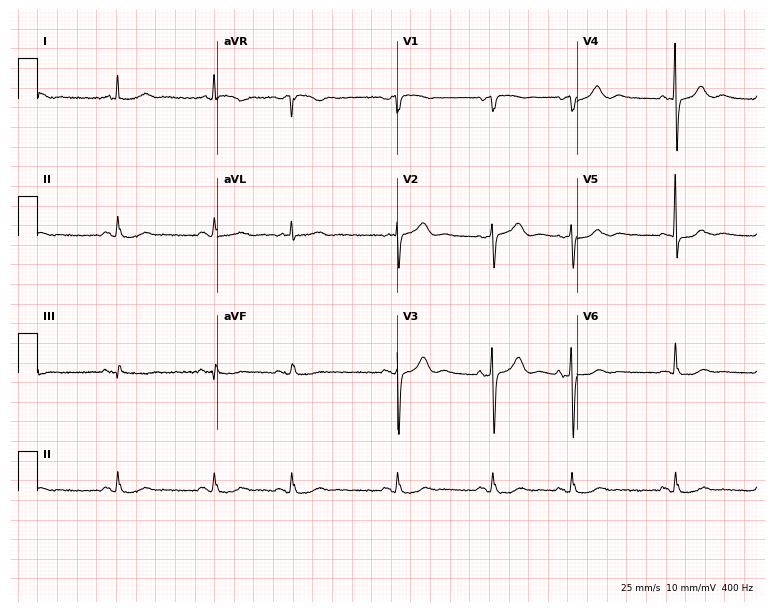
12-lead ECG (7.3-second recording at 400 Hz) from an 82-year-old female. Labelled as a normal ECG.